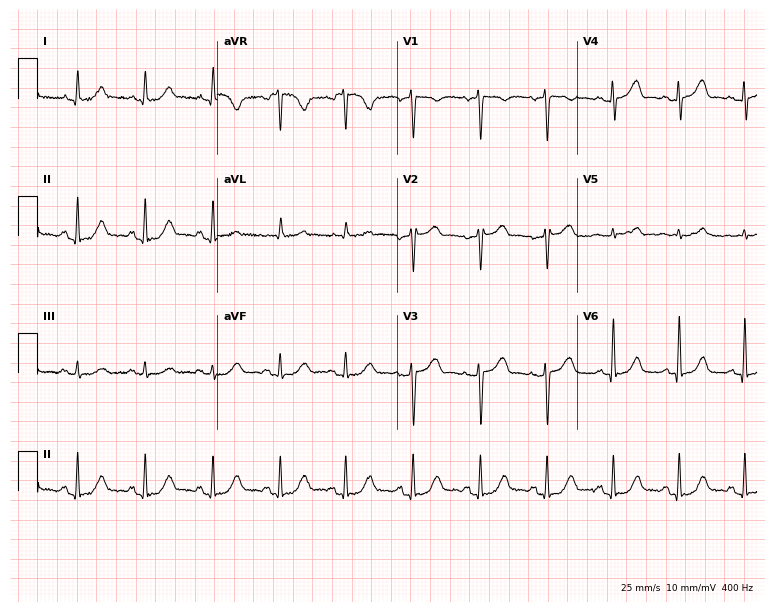
12-lead ECG from a 77-year-old female (7.3-second recording at 400 Hz). No first-degree AV block, right bundle branch block (RBBB), left bundle branch block (LBBB), sinus bradycardia, atrial fibrillation (AF) or sinus tachycardia recorded for this tracing. Findings outside these six are not listed.